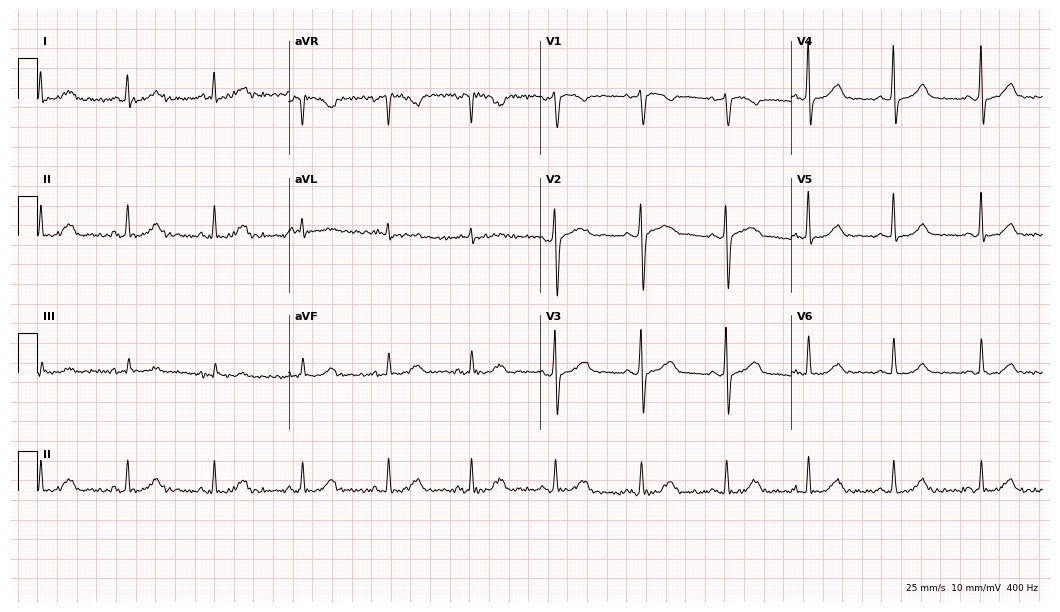
12-lead ECG from a 60-year-old woman. Recorded interpretation: within normal limits.